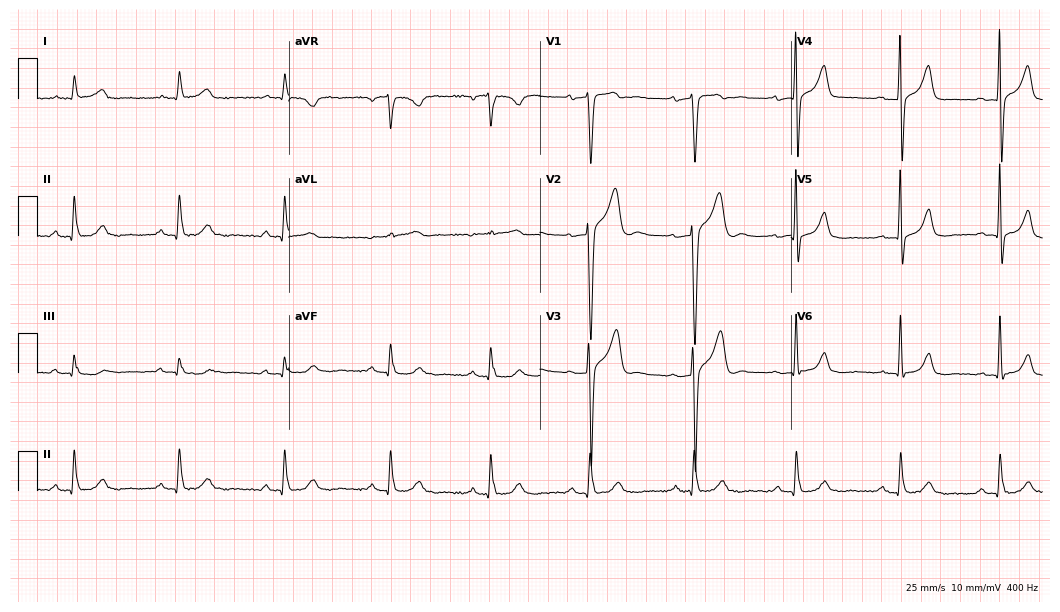
12-lead ECG from a 51-year-old male (10.2-second recording at 400 Hz). Recorded interpretation: within normal limits.